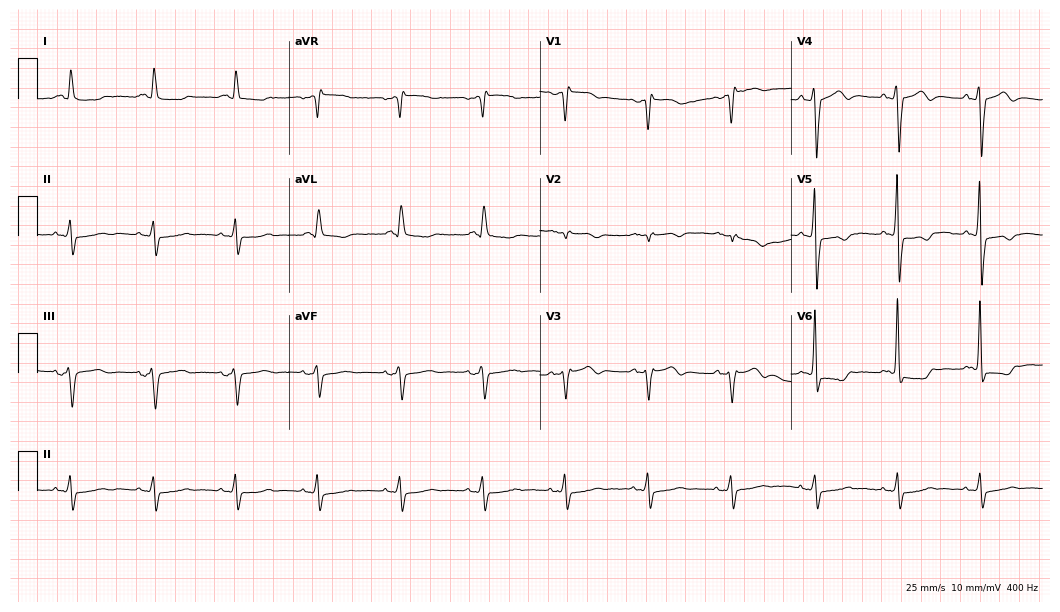
Standard 12-lead ECG recorded from a man, 73 years old (10.2-second recording at 400 Hz). None of these six findings is recorded: first-degree AV block, right bundle branch block, left bundle branch block, sinus bradycardia, atrial fibrillation, sinus tachycardia. Other findings, if any, are not listed.